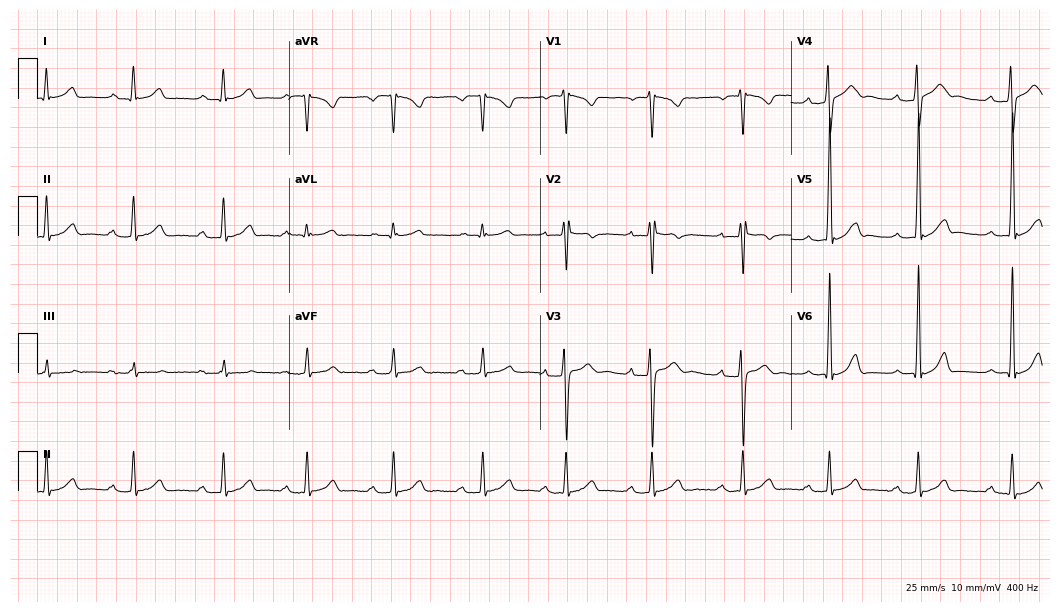
Standard 12-lead ECG recorded from a male patient, 18 years old. The tracing shows first-degree AV block.